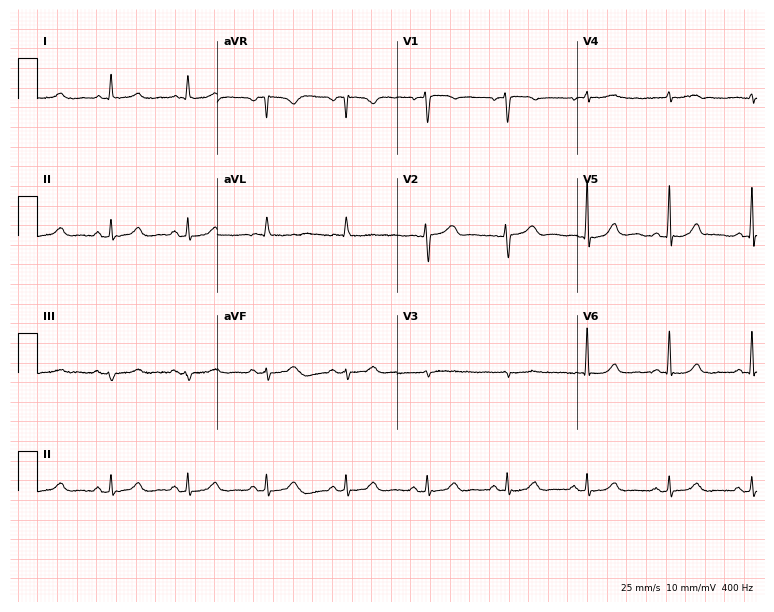
Electrocardiogram (7.3-second recording at 400 Hz), a woman, 58 years old. Overall reading on record: normal ECG.